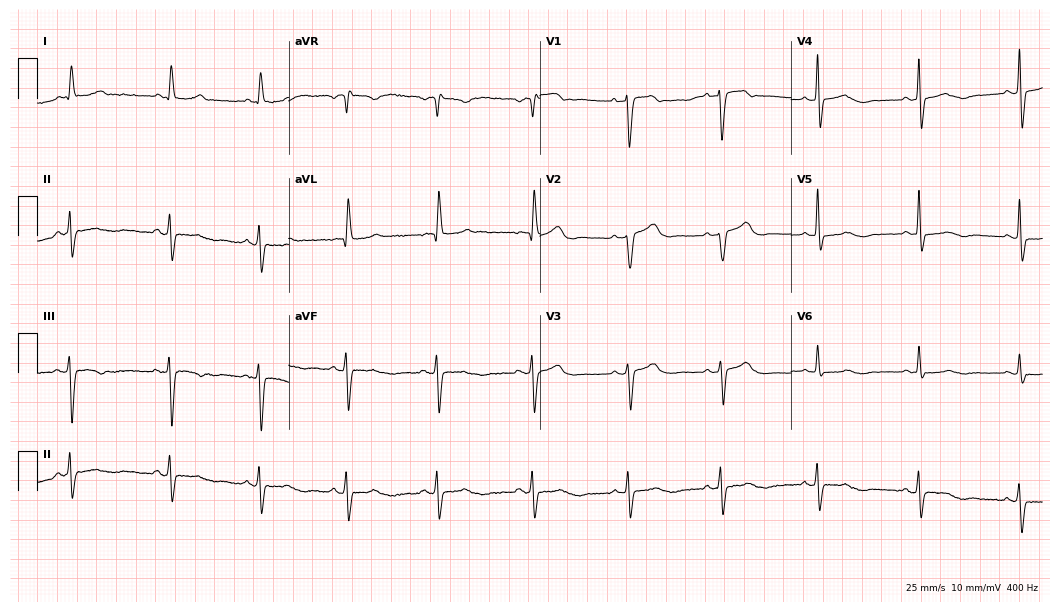
Resting 12-lead electrocardiogram. Patient: a 68-year-old woman. Read as a normal ECG.